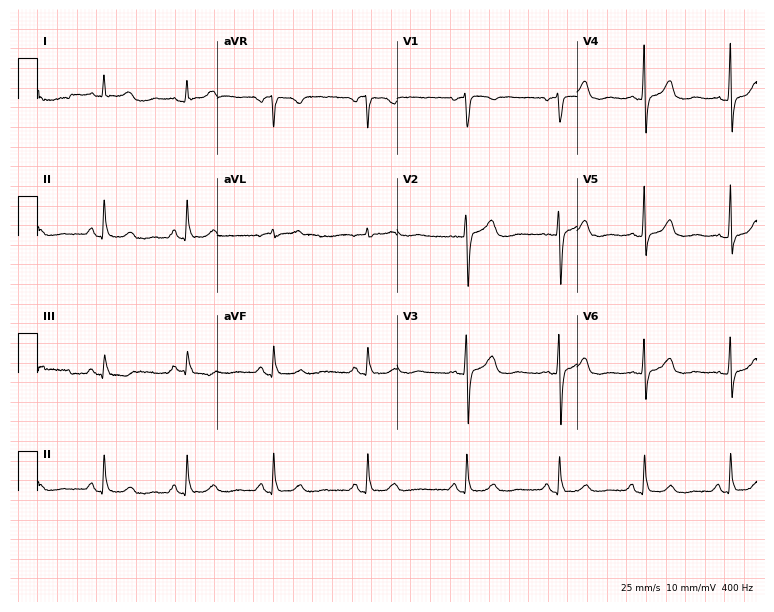
ECG — a female, 50 years old. Labelled as a normal ECG.